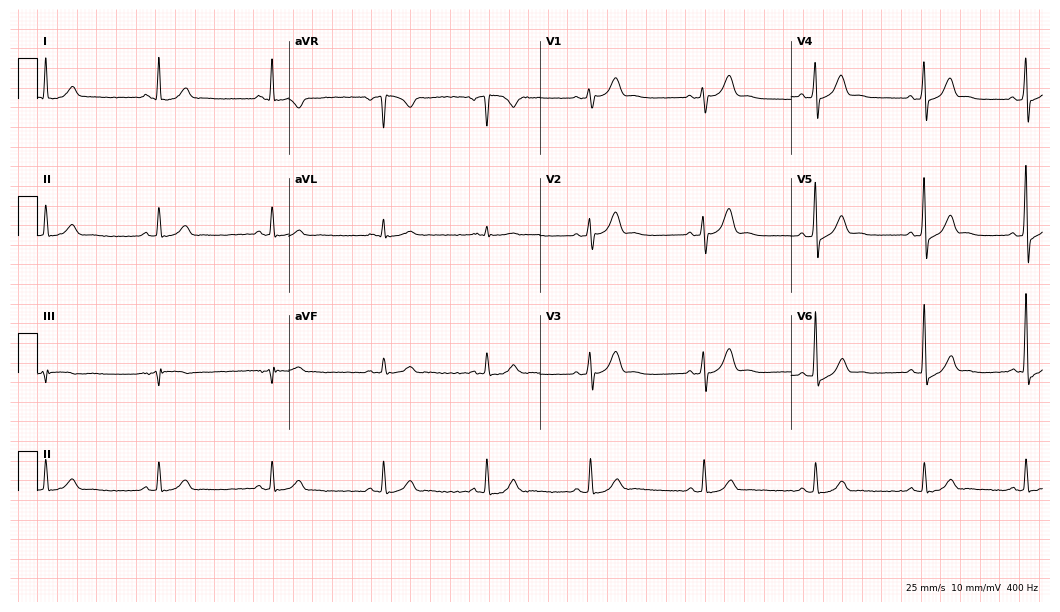
Resting 12-lead electrocardiogram (10.2-second recording at 400 Hz). Patient: a 37-year-old man. Read as a normal ECG.